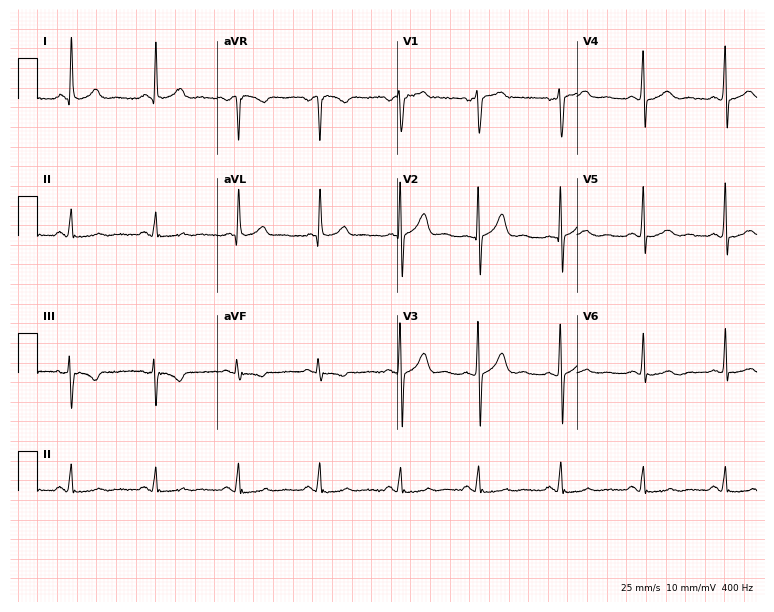
Standard 12-lead ECG recorded from a 48-year-old male. Read as a normal ECG.